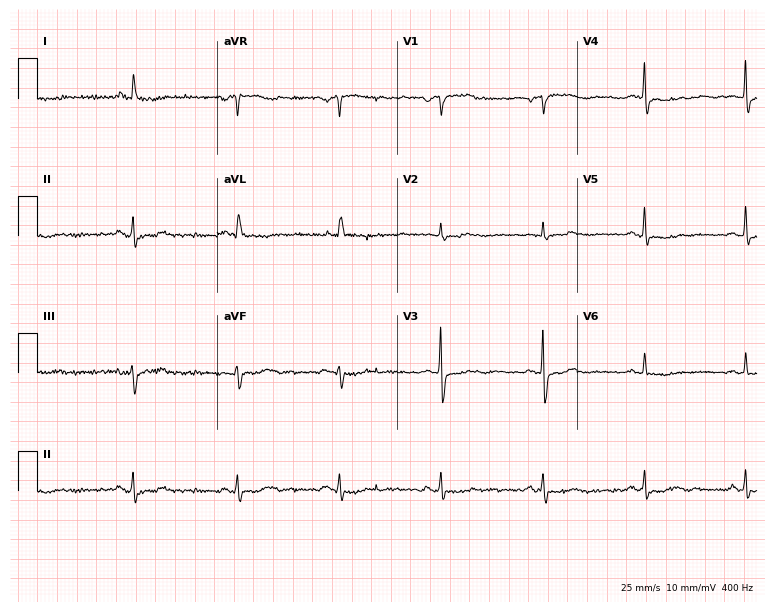
12-lead ECG (7.3-second recording at 400 Hz) from a male, 72 years old. Screened for six findings — first-degree AV block, right bundle branch block, left bundle branch block, sinus bradycardia, atrial fibrillation, sinus tachycardia — none is recorded.